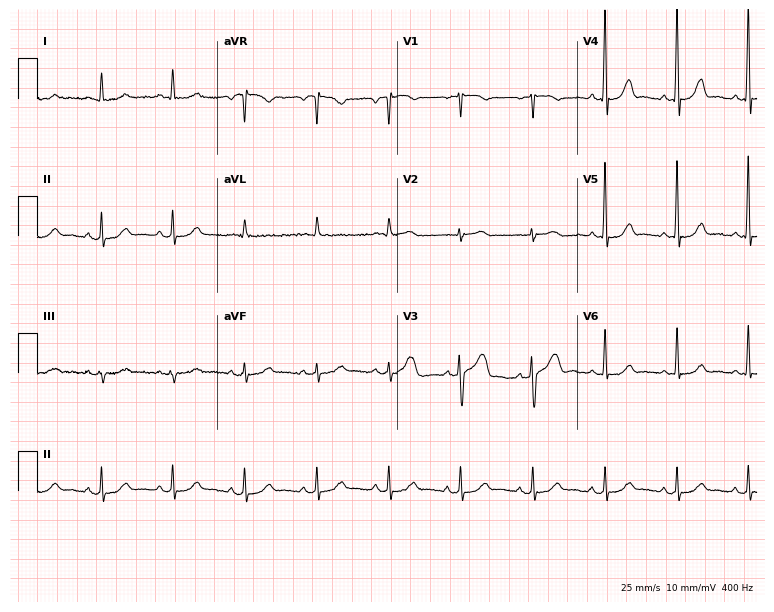
Electrocardiogram (7.3-second recording at 400 Hz), a female, 56 years old. Overall reading on record: normal ECG.